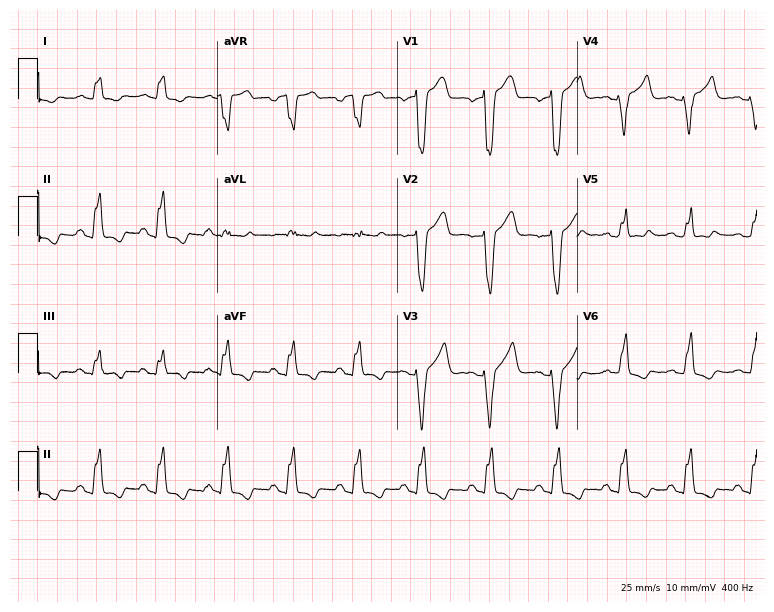
Resting 12-lead electrocardiogram. Patient: a male, 49 years old. The tracing shows left bundle branch block.